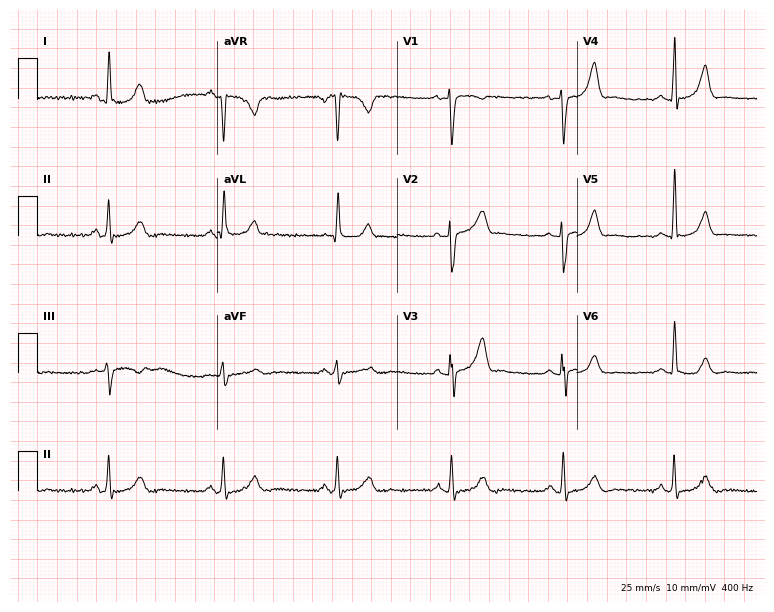
ECG — a female patient, 60 years old. Findings include sinus bradycardia (a sinus rate of 50 beats per minute or less).